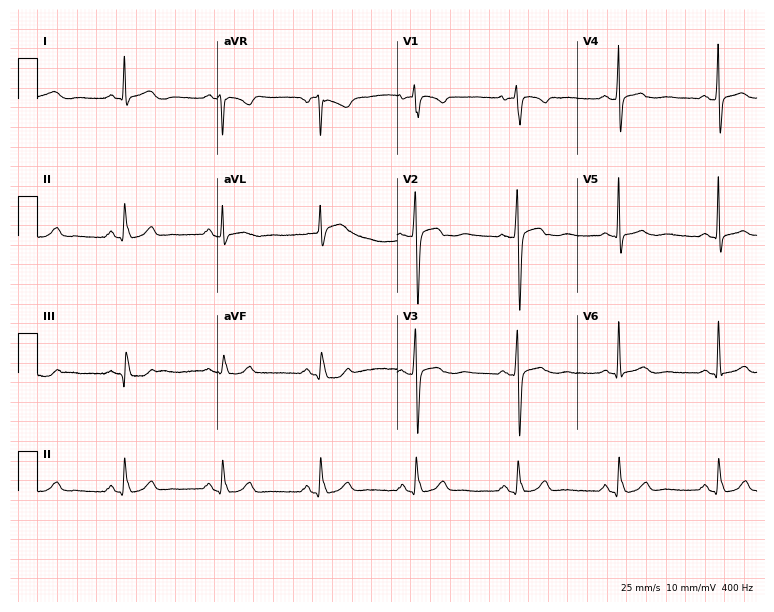
Standard 12-lead ECG recorded from a 54-year-old woman. Read as a normal ECG.